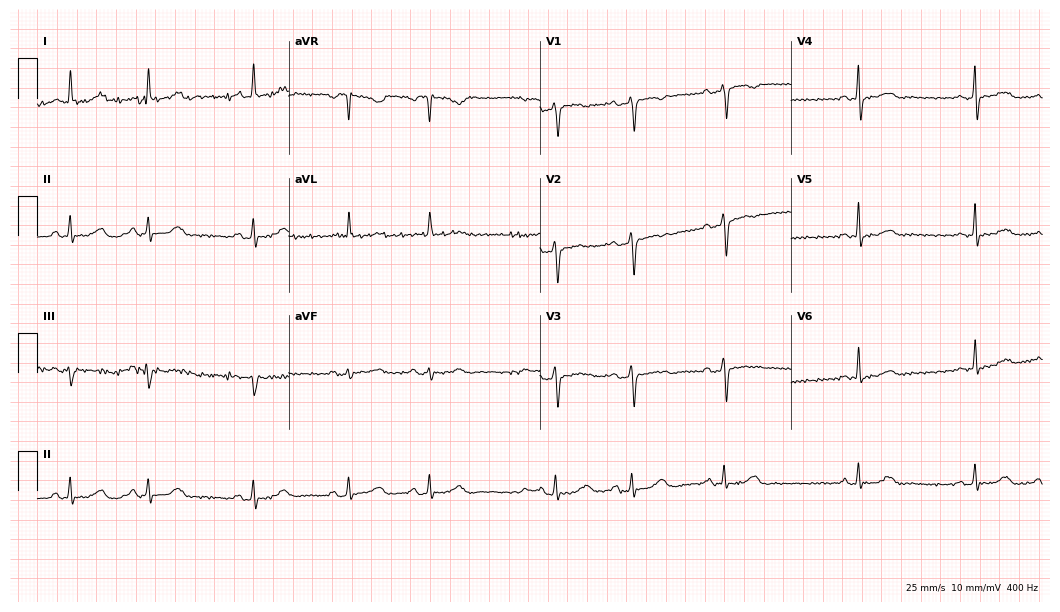
Electrocardiogram (10.2-second recording at 400 Hz), a woman, 76 years old. Of the six screened findings (first-degree AV block, right bundle branch block, left bundle branch block, sinus bradycardia, atrial fibrillation, sinus tachycardia), none is recorded.